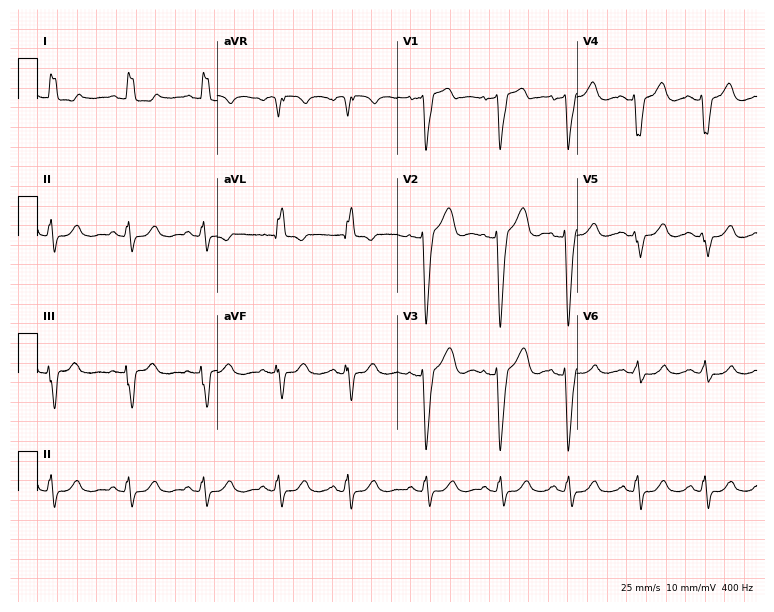
Electrocardiogram (7.3-second recording at 400 Hz), a woman, 53 years old. Of the six screened findings (first-degree AV block, right bundle branch block (RBBB), left bundle branch block (LBBB), sinus bradycardia, atrial fibrillation (AF), sinus tachycardia), none is recorded. Only these six findings were labelled.